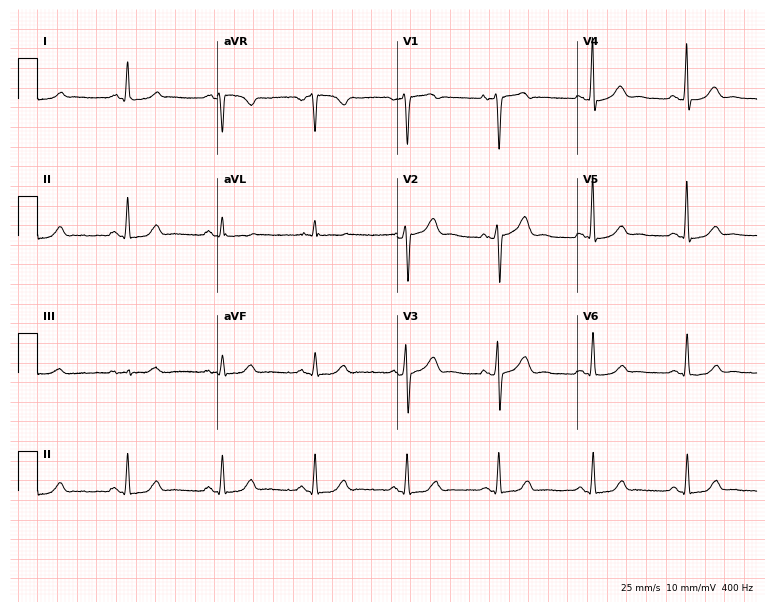
Electrocardiogram (7.3-second recording at 400 Hz), a 49-year-old female. Overall reading on record: normal ECG.